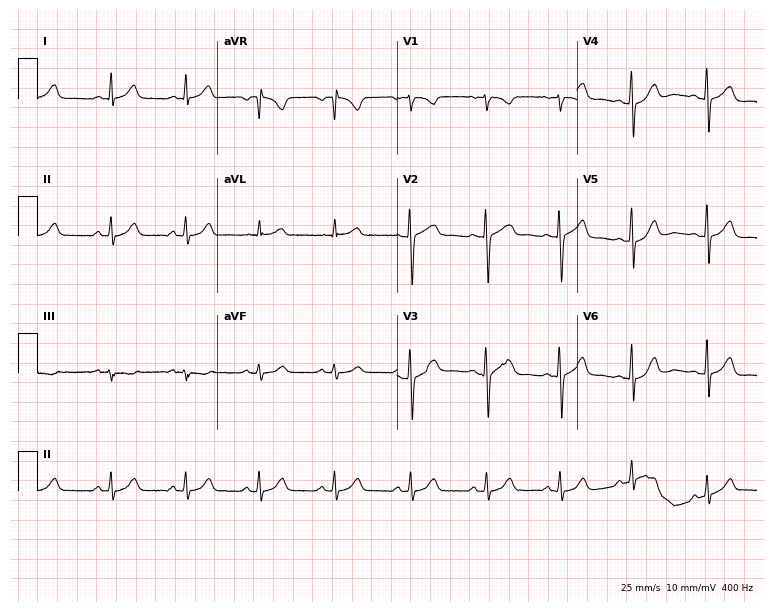
ECG (7.3-second recording at 400 Hz) — a woman, 38 years old. Screened for six findings — first-degree AV block, right bundle branch block (RBBB), left bundle branch block (LBBB), sinus bradycardia, atrial fibrillation (AF), sinus tachycardia — none is recorded.